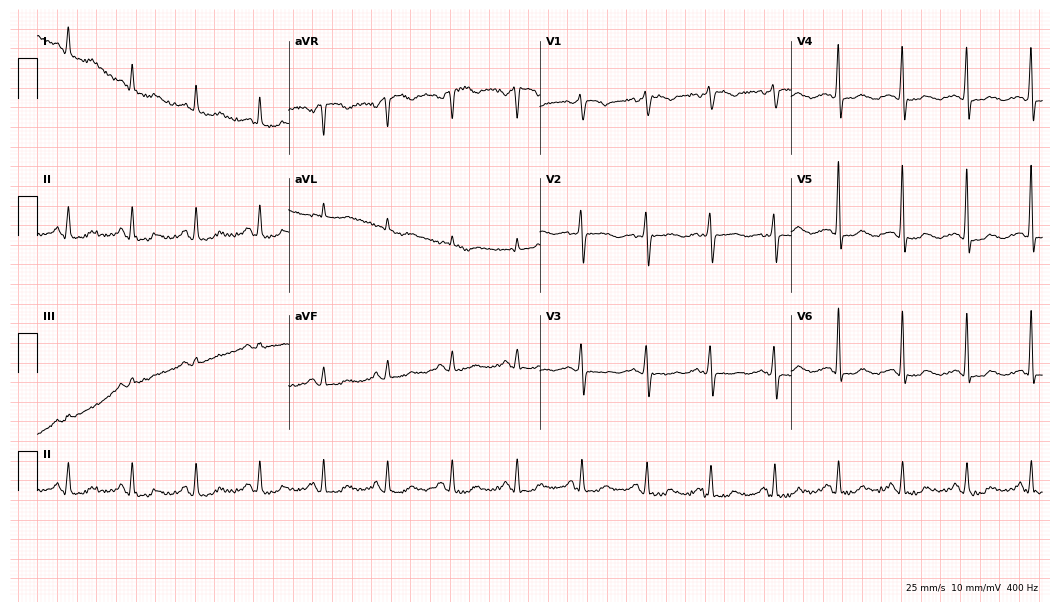
Resting 12-lead electrocardiogram (10.2-second recording at 400 Hz). Patient: a 76-year-old female. Read as a normal ECG.